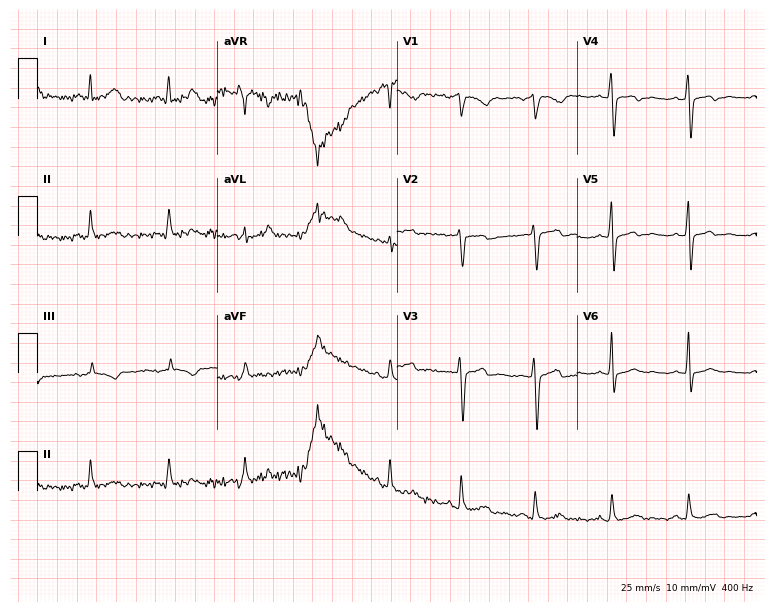
Resting 12-lead electrocardiogram. Patient: a male, 31 years old. None of these six findings is recorded: first-degree AV block, right bundle branch block (RBBB), left bundle branch block (LBBB), sinus bradycardia, atrial fibrillation (AF), sinus tachycardia.